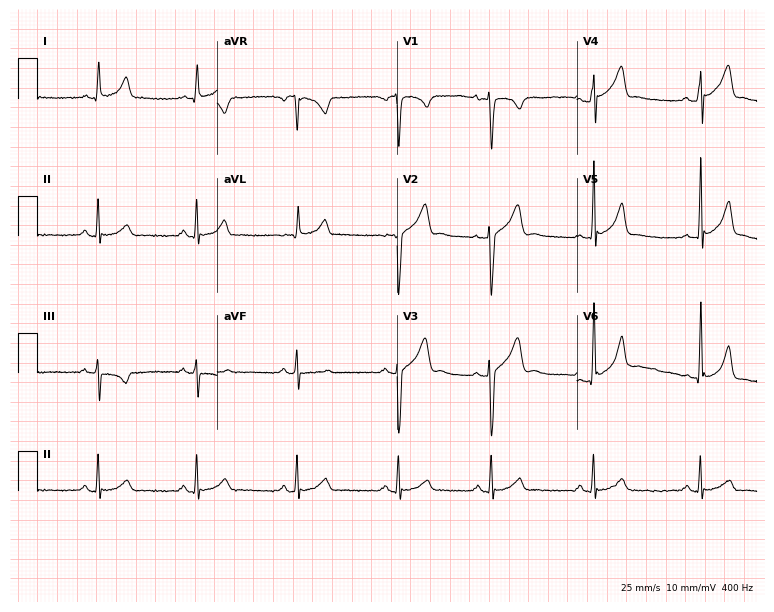
12-lead ECG from a male patient, 26 years old. Recorded interpretation: within normal limits.